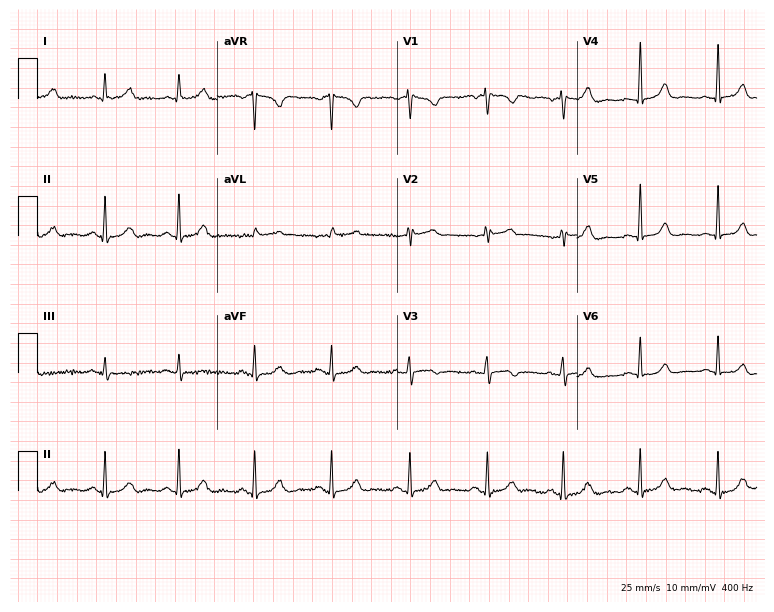
Resting 12-lead electrocardiogram (7.3-second recording at 400 Hz). Patient: a 57-year-old female. Read as a normal ECG.